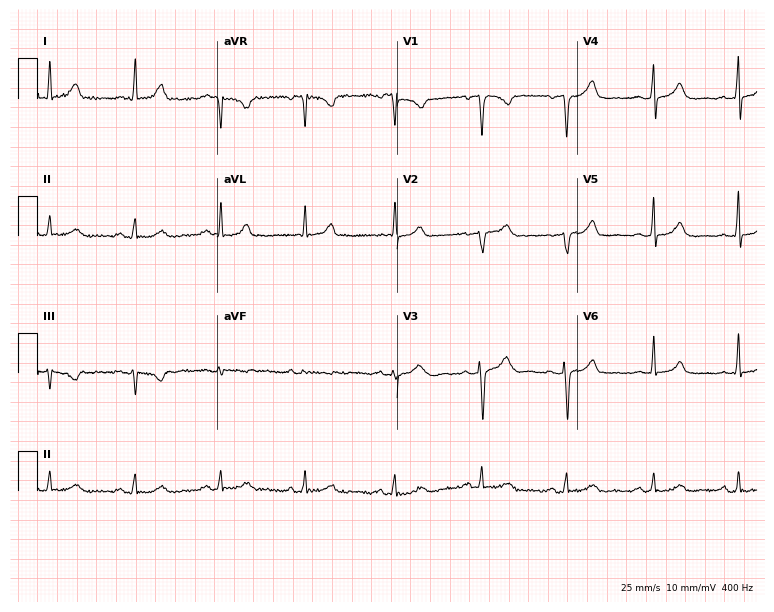
ECG (7.3-second recording at 400 Hz) — a 48-year-old woman. Labelled as a normal ECG.